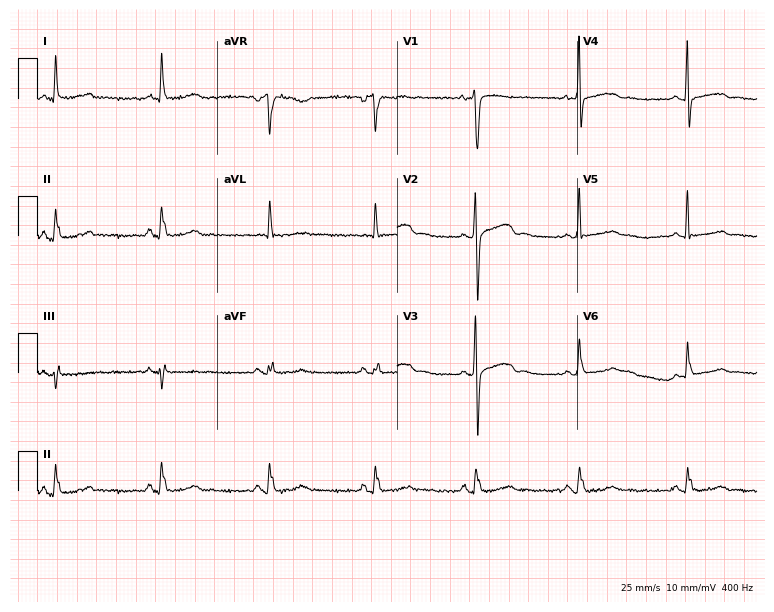
Resting 12-lead electrocardiogram (7.3-second recording at 400 Hz). Patient: a 48-year-old woman. None of these six findings is recorded: first-degree AV block, right bundle branch block, left bundle branch block, sinus bradycardia, atrial fibrillation, sinus tachycardia. Other findings, if any, are not listed.